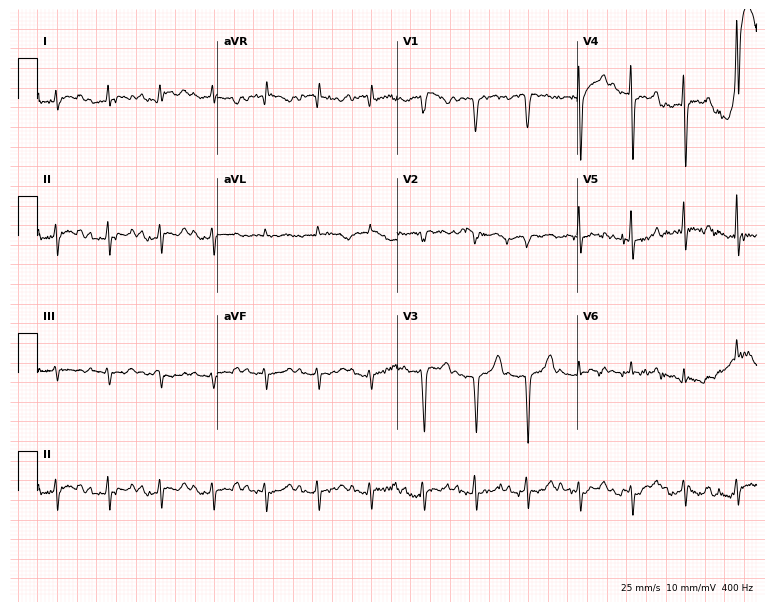
12-lead ECG (7.3-second recording at 400 Hz) from a man, 79 years old. Findings include sinus tachycardia (a sinus rate of 100 beats per minute or more).